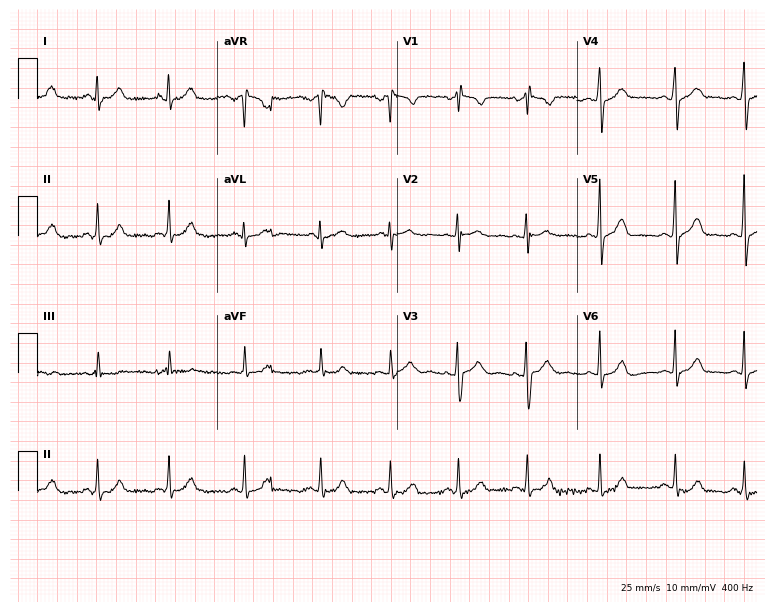
12-lead ECG from a 20-year-old female patient (7.3-second recording at 400 Hz). Recorded interpretation: within normal limits.